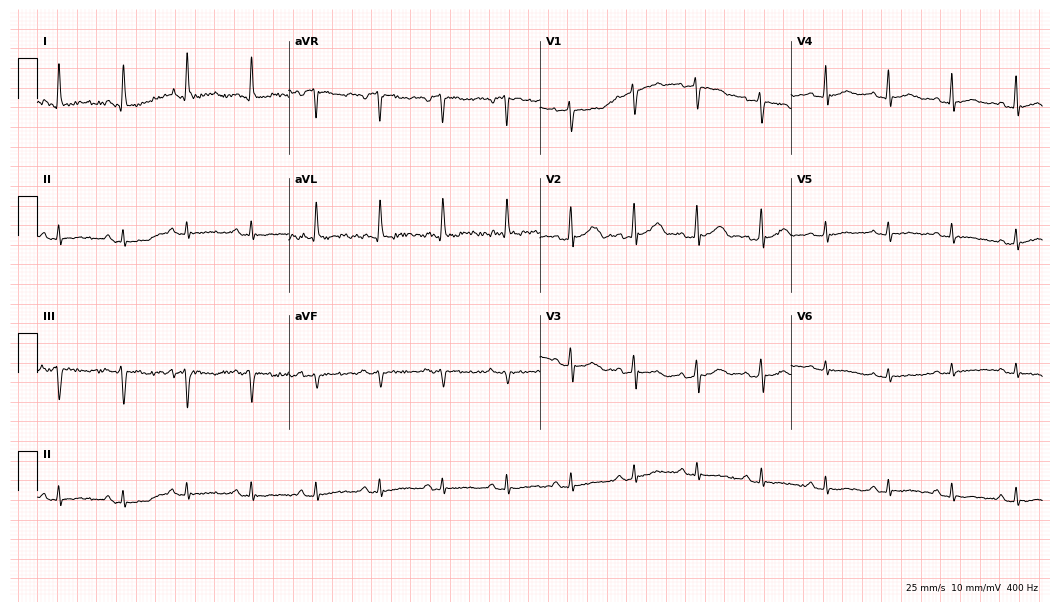
12-lead ECG from a female patient, 65 years old (10.2-second recording at 400 Hz). No first-degree AV block, right bundle branch block, left bundle branch block, sinus bradycardia, atrial fibrillation or sinus tachycardia recorded for this tracing.